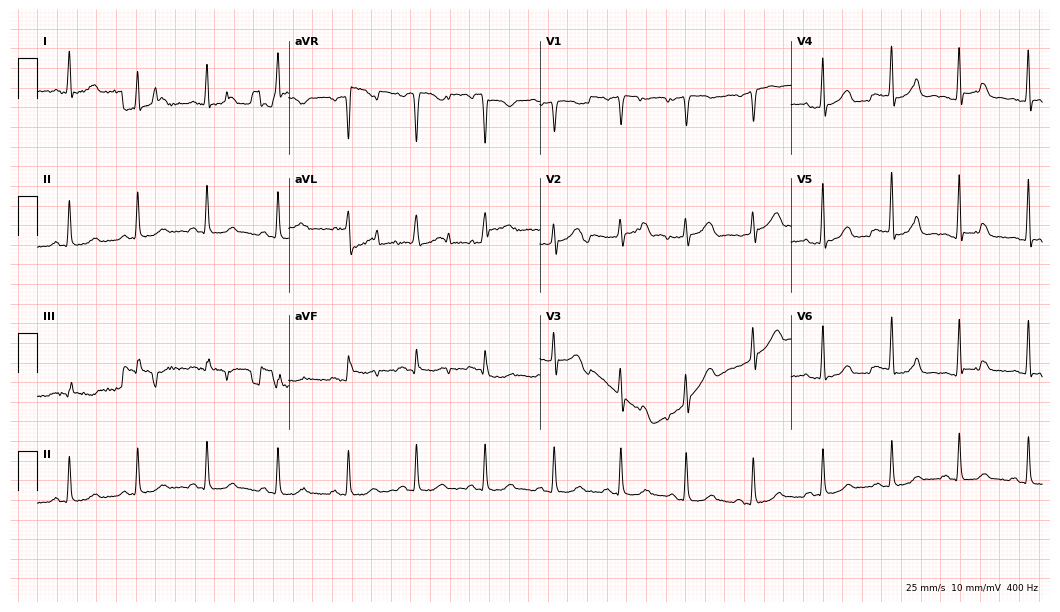
Electrocardiogram (10.2-second recording at 400 Hz), a 41-year-old female patient. Overall reading on record: normal ECG.